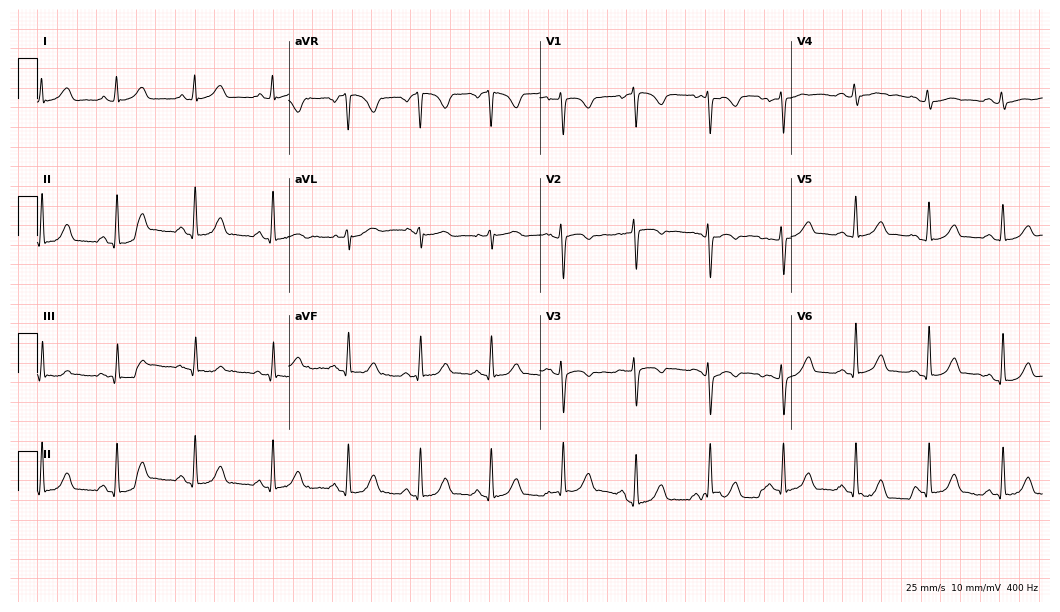
ECG — a woman, 25 years old. Labelled as a normal ECG.